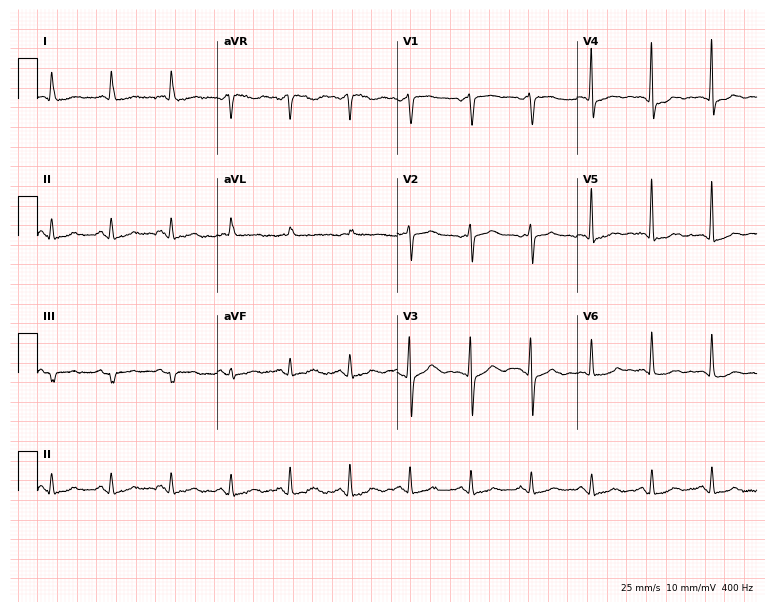
Electrocardiogram, a 76-year-old female. Overall reading on record: normal ECG.